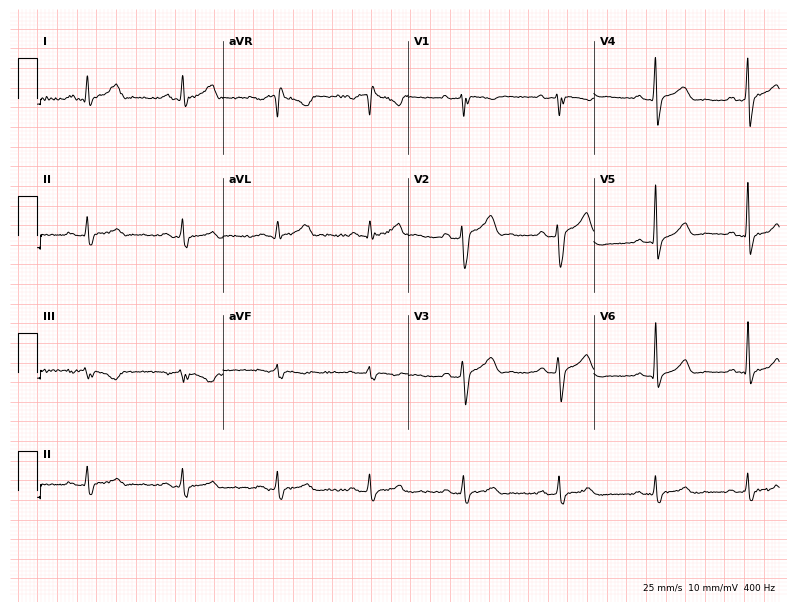
ECG — a 37-year-old male patient. Labelled as a normal ECG.